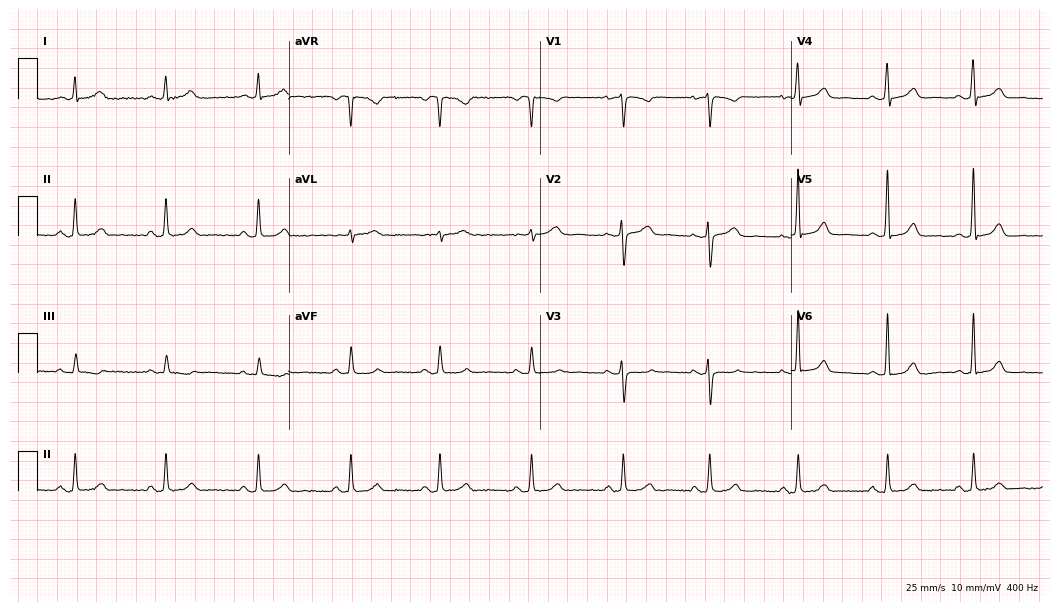
ECG (10.2-second recording at 400 Hz) — a female patient, 40 years old. Labelled as a normal ECG.